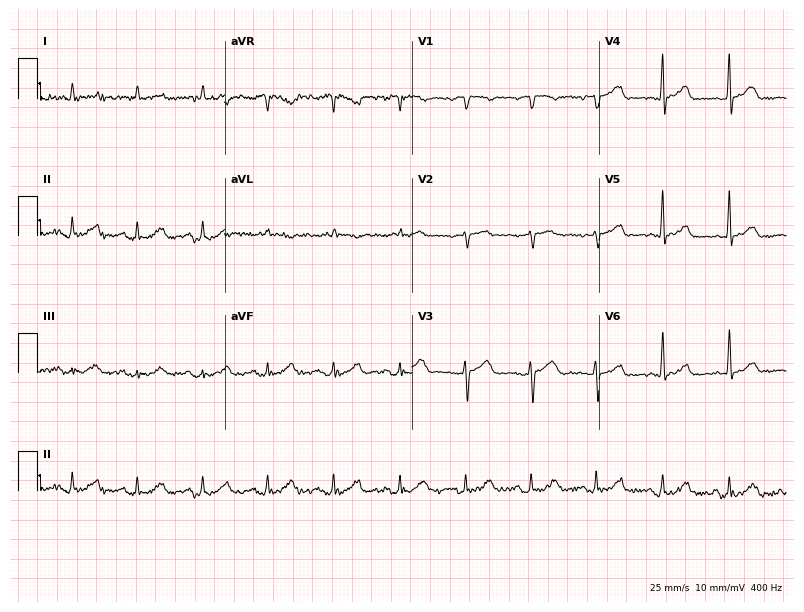
12-lead ECG from a 71-year-old man (7.6-second recording at 400 Hz). Recorded interpretation: within normal limits.